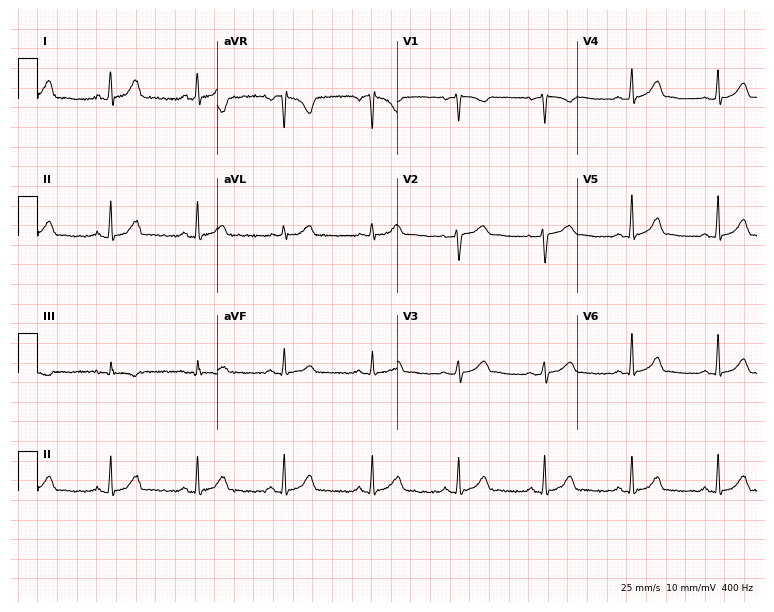
12-lead ECG from a female, 42 years old (7.3-second recording at 400 Hz). Recorded interpretation: within normal limits.